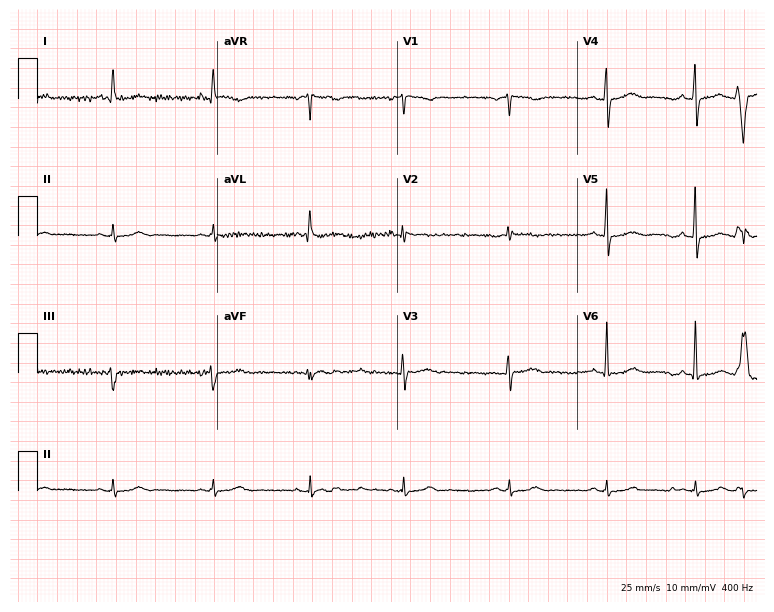
12-lead ECG from a woman, 69 years old. Screened for six findings — first-degree AV block, right bundle branch block, left bundle branch block, sinus bradycardia, atrial fibrillation, sinus tachycardia — none is recorded. Only these six findings were labelled.